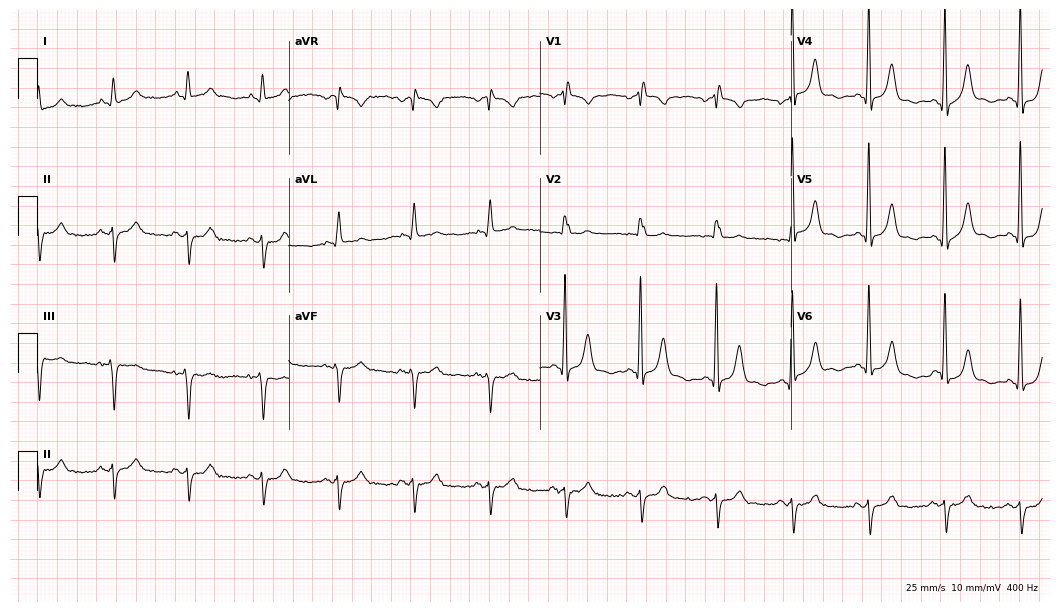
12-lead ECG from an 80-year-old female patient. Screened for six findings — first-degree AV block, right bundle branch block (RBBB), left bundle branch block (LBBB), sinus bradycardia, atrial fibrillation (AF), sinus tachycardia — none is recorded. Only these six findings were labelled.